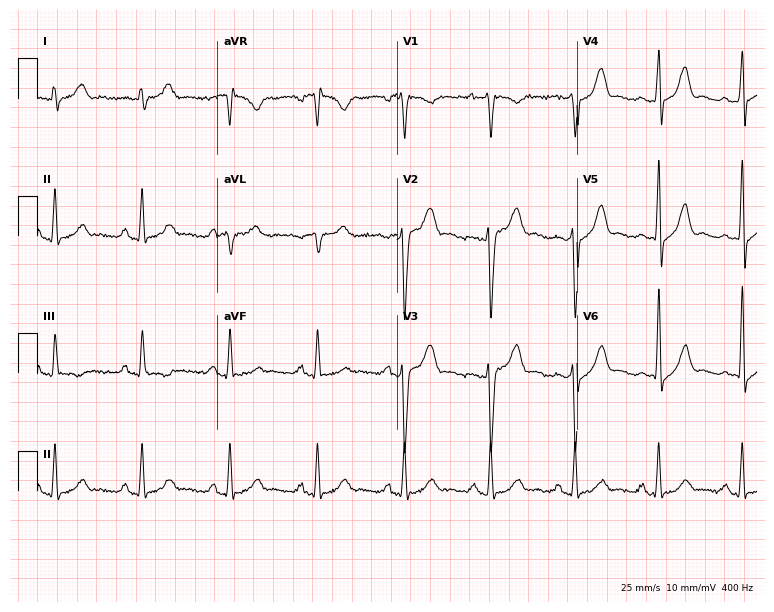
12-lead ECG from a 35-year-old man. No first-degree AV block, right bundle branch block, left bundle branch block, sinus bradycardia, atrial fibrillation or sinus tachycardia recorded for this tracing. Only these six findings were labelled.